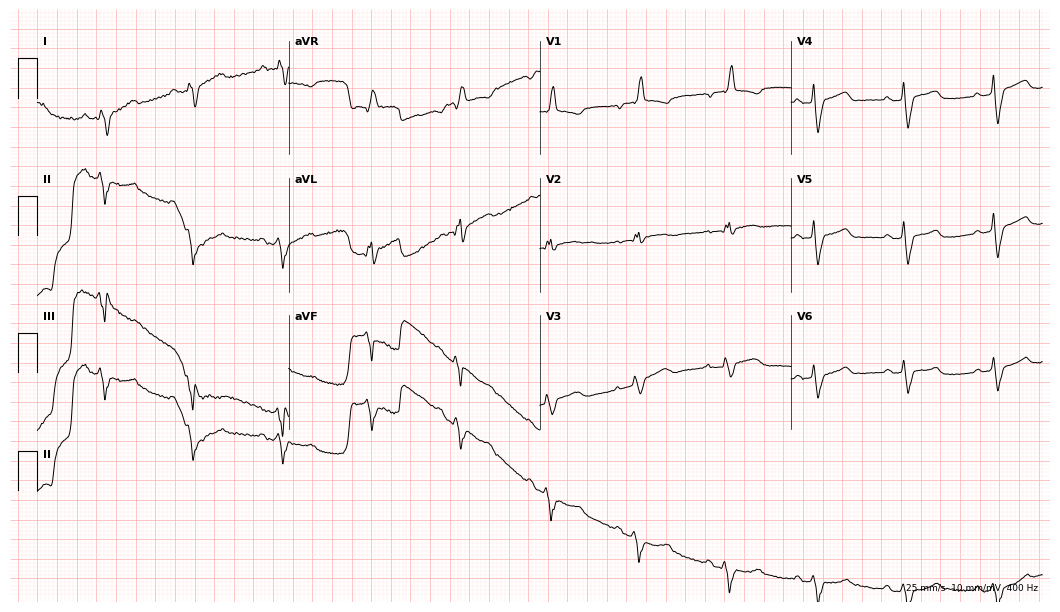
12-lead ECG (10.2-second recording at 400 Hz) from a female, 63 years old. Findings include right bundle branch block.